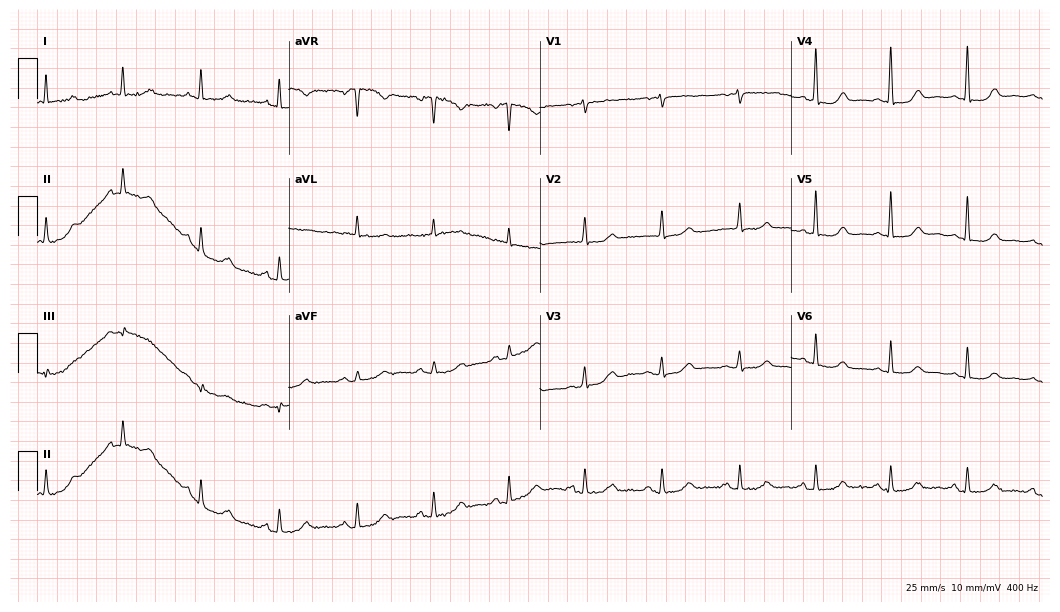
12-lead ECG from a 75-year-old female (10.2-second recording at 400 Hz). Recorded interpretation: within normal limits.